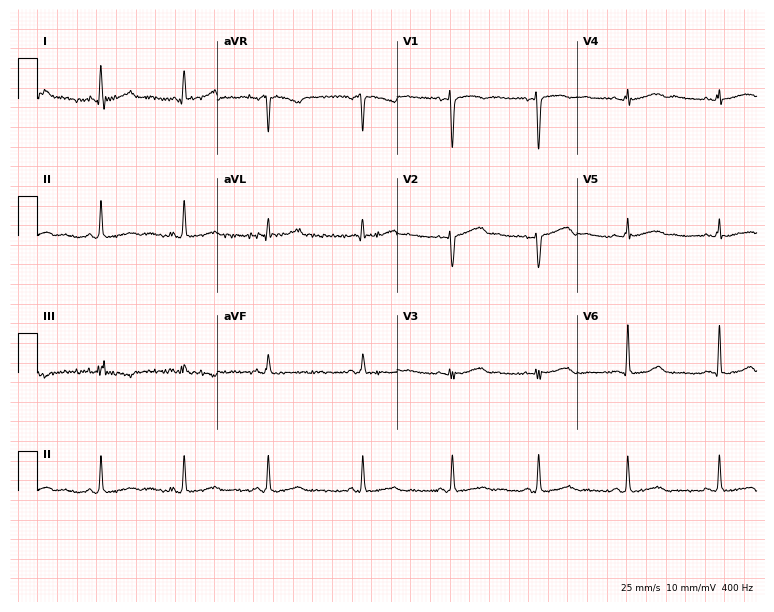
Resting 12-lead electrocardiogram. Patient: a woman, 48 years old. None of these six findings is recorded: first-degree AV block, right bundle branch block, left bundle branch block, sinus bradycardia, atrial fibrillation, sinus tachycardia.